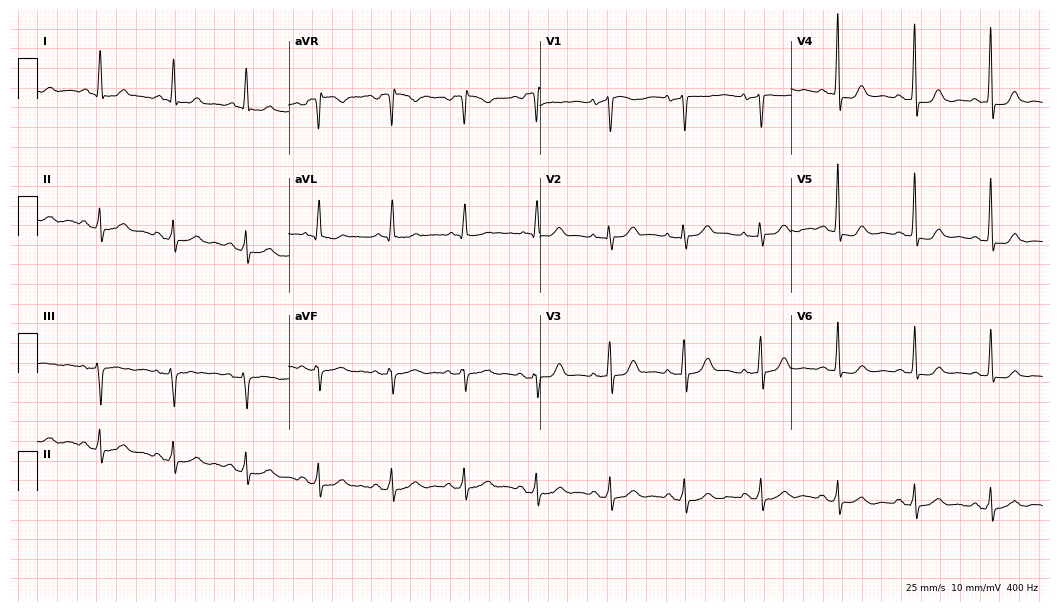
12-lead ECG (10.2-second recording at 400 Hz) from a female, 66 years old. Screened for six findings — first-degree AV block, right bundle branch block, left bundle branch block, sinus bradycardia, atrial fibrillation, sinus tachycardia — none is recorded. Other findings, if any, are not listed.